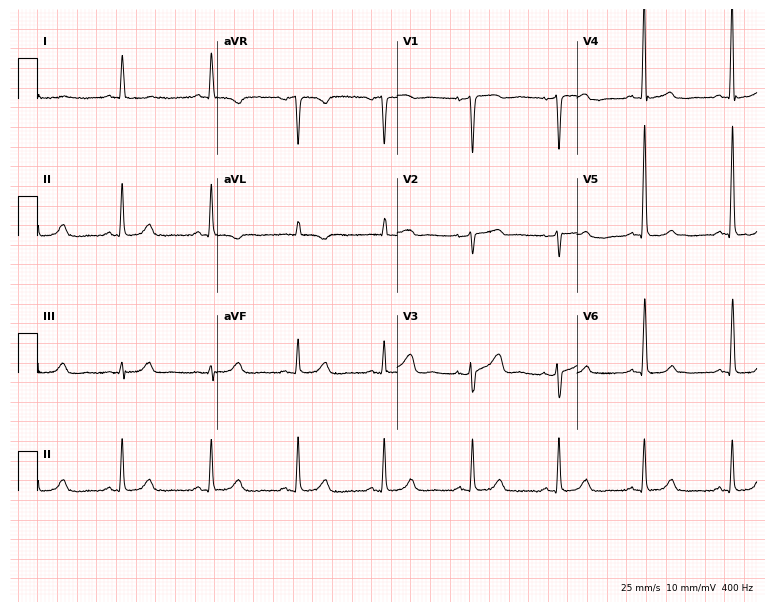
ECG (7.3-second recording at 400 Hz) — an 83-year-old female. Screened for six findings — first-degree AV block, right bundle branch block (RBBB), left bundle branch block (LBBB), sinus bradycardia, atrial fibrillation (AF), sinus tachycardia — none is recorded.